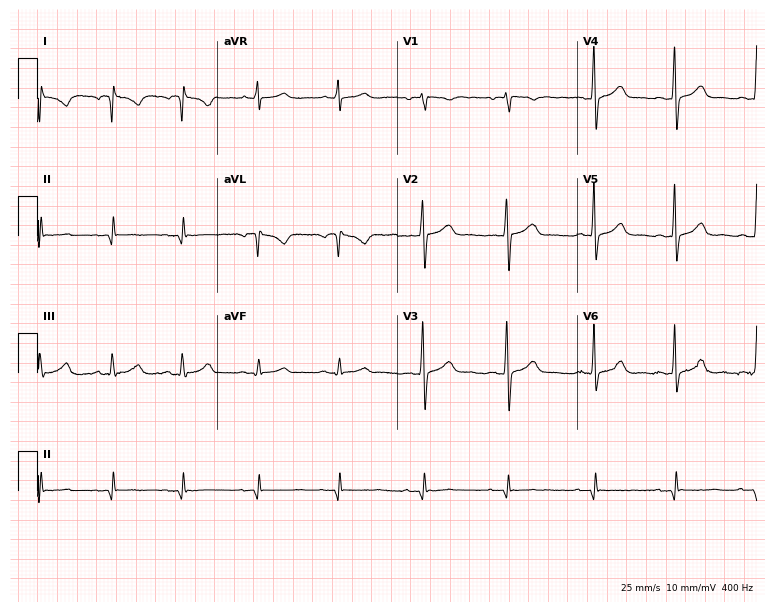
12-lead ECG (7.3-second recording at 400 Hz) from a 36-year-old male. Labelled as a normal ECG.